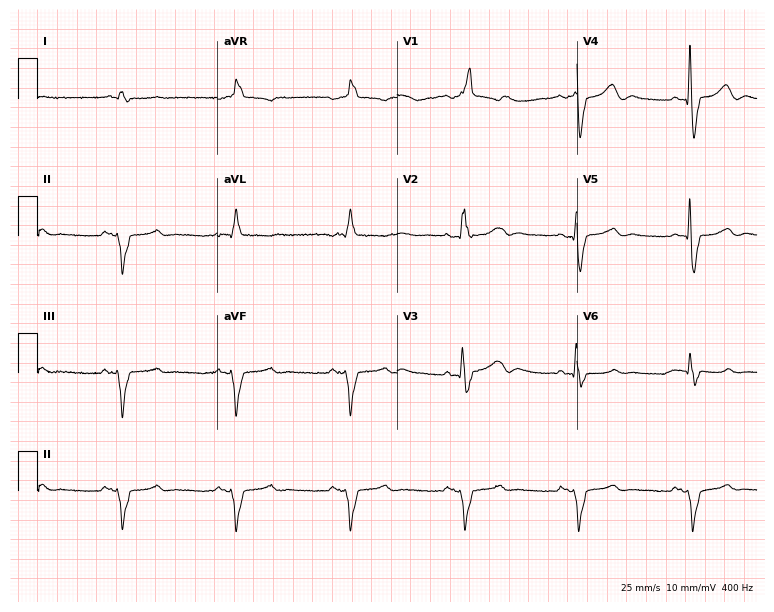
Standard 12-lead ECG recorded from an 82-year-old man (7.3-second recording at 400 Hz). The tracing shows right bundle branch block.